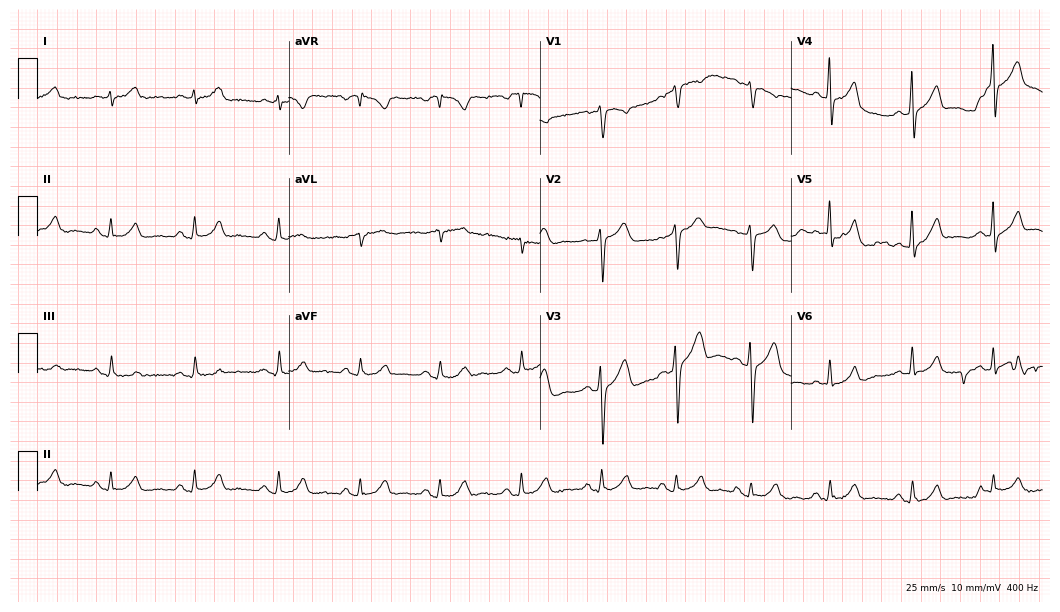
12-lead ECG (10.2-second recording at 400 Hz) from a 46-year-old male. Labelled as a normal ECG.